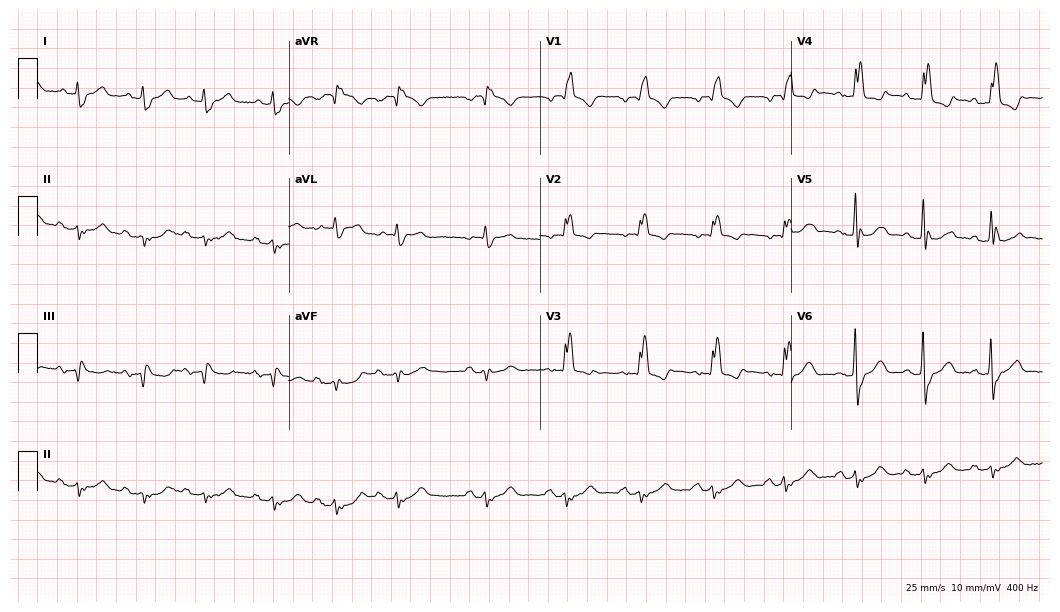
Resting 12-lead electrocardiogram (10.2-second recording at 400 Hz). Patient: a 77-year-old male. The tracing shows right bundle branch block (RBBB).